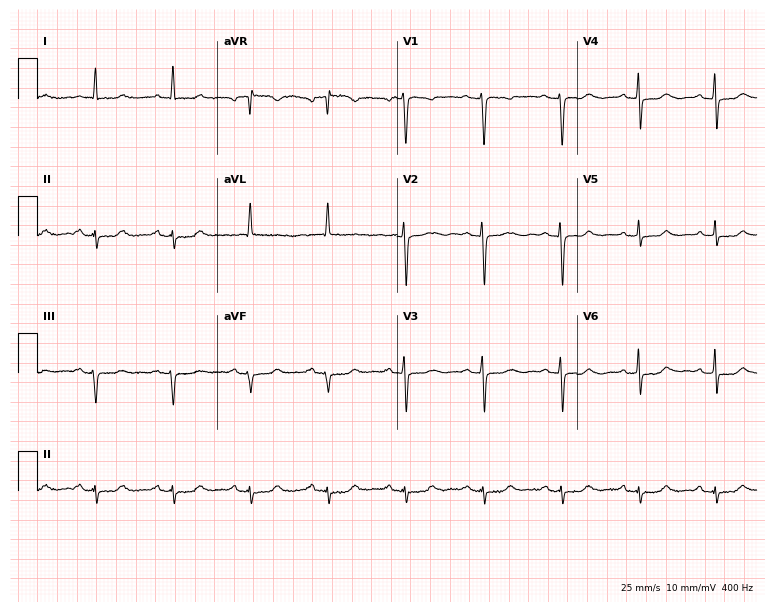
12-lead ECG from a 73-year-old female (7.3-second recording at 400 Hz). No first-degree AV block, right bundle branch block (RBBB), left bundle branch block (LBBB), sinus bradycardia, atrial fibrillation (AF) or sinus tachycardia recorded for this tracing.